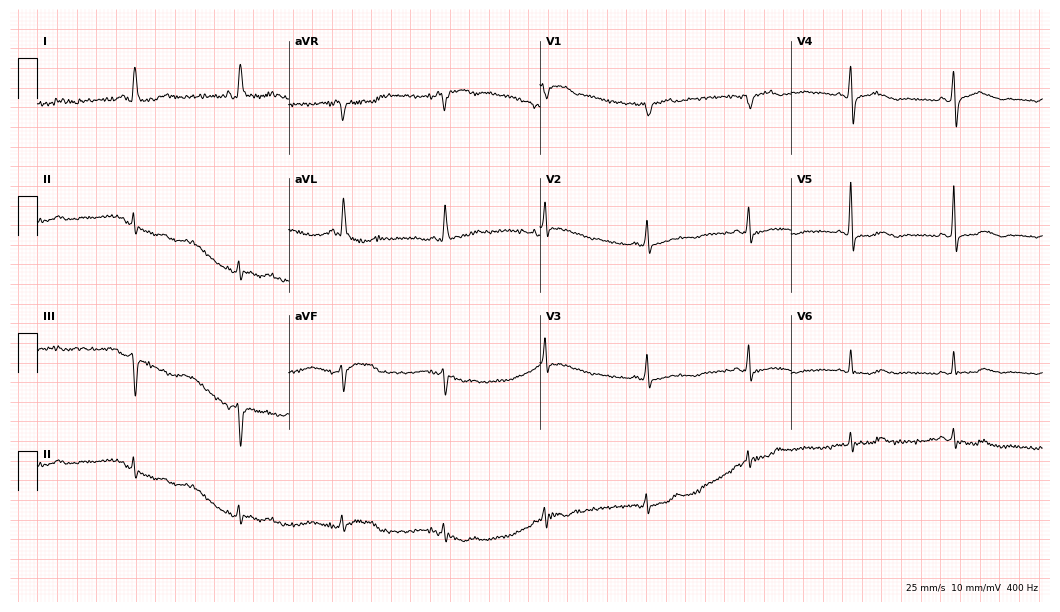
Electrocardiogram (10.2-second recording at 400 Hz), a female patient, 74 years old. Of the six screened findings (first-degree AV block, right bundle branch block, left bundle branch block, sinus bradycardia, atrial fibrillation, sinus tachycardia), none is recorded. Other findings, if any, are not listed.